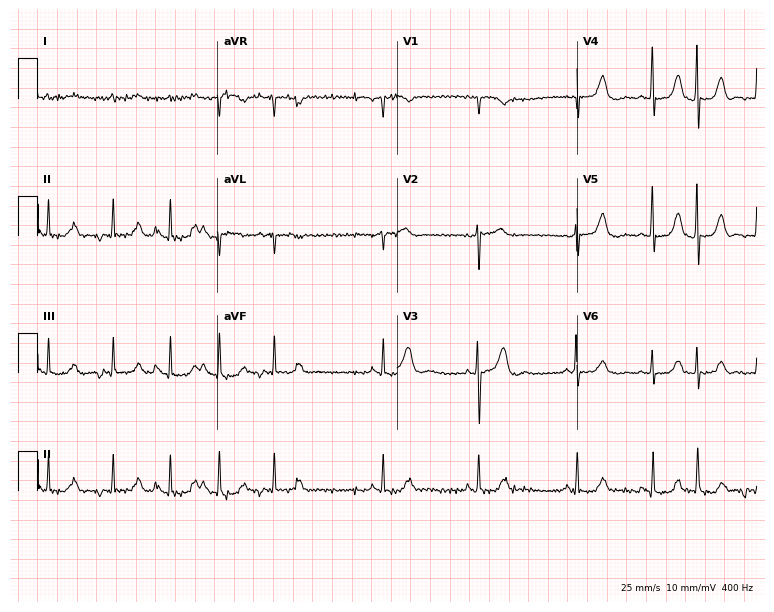
ECG (7.3-second recording at 400 Hz) — a 79-year-old female. Screened for six findings — first-degree AV block, right bundle branch block (RBBB), left bundle branch block (LBBB), sinus bradycardia, atrial fibrillation (AF), sinus tachycardia — none is recorded.